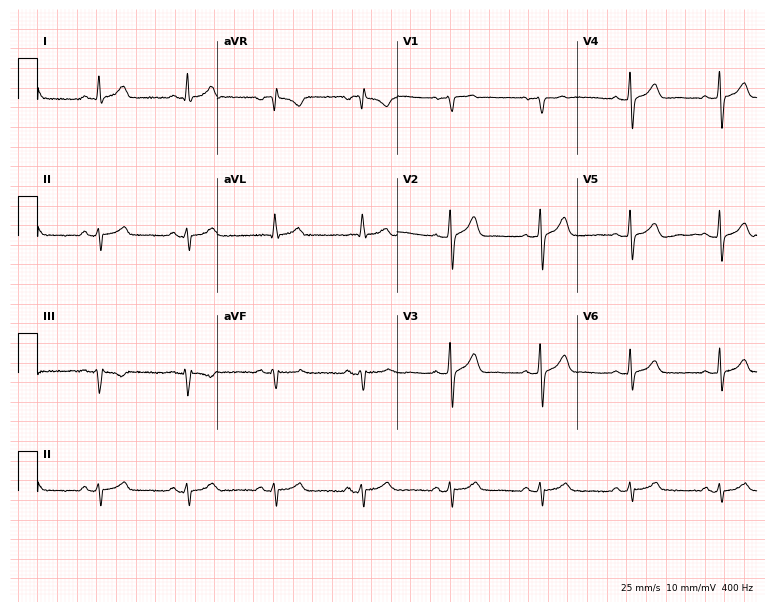
ECG — a 54-year-old male. Screened for six findings — first-degree AV block, right bundle branch block, left bundle branch block, sinus bradycardia, atrial fibrillation, sinus tachycardia — none is recorded.